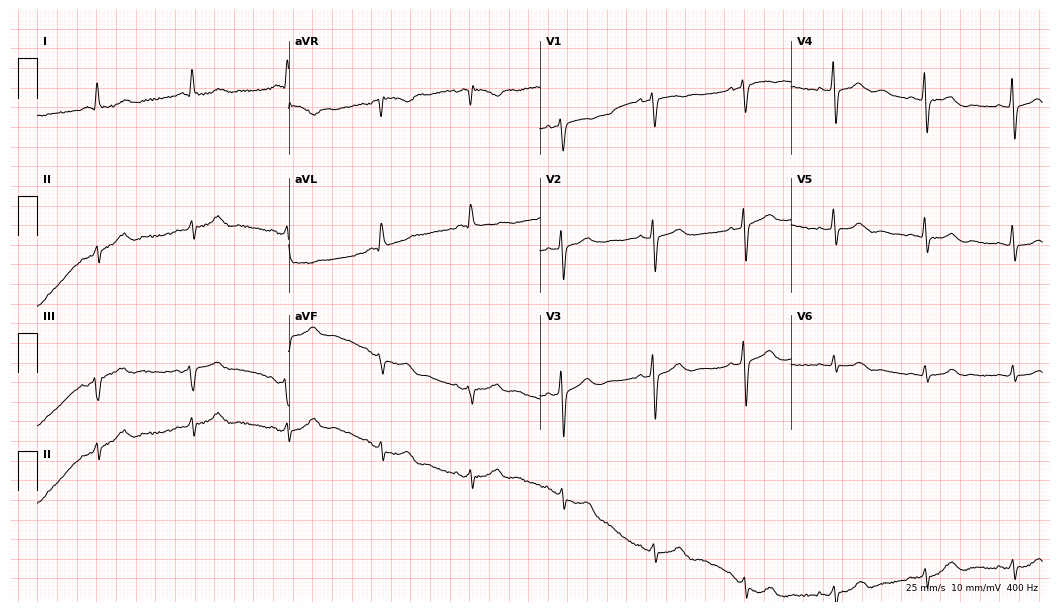
ECG (10.2-second recording at 400 Hz) — a male patient, 80 years old. Labelled as a normal ECG.